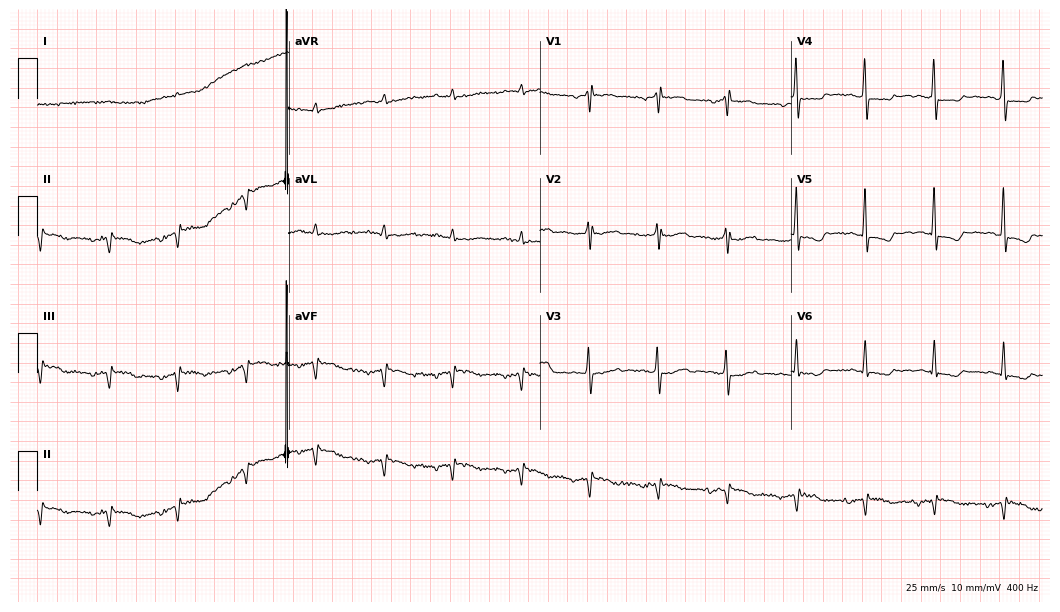
12-lead ECG from an 82-year-old female patient. Screened for six findings — first-degree AV block, right bundle branch block (RBBB), left bundle branch block (LBBB), sinus bradycardia, atrial fibrillation (AF), sinus tachycardia — none is recorded.